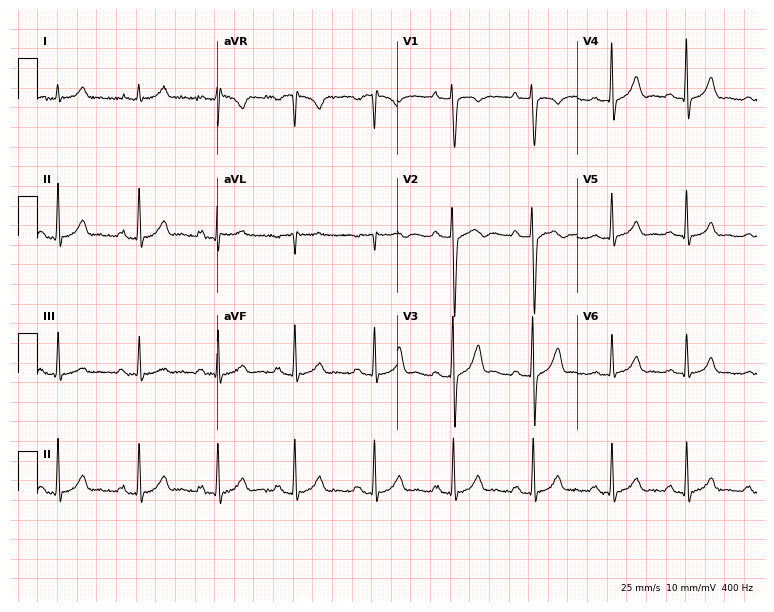
Electrocardiogram (7.3-second recording at 400 Hz), a 48-year-old male patient. Overall reading on record: normal ECG.